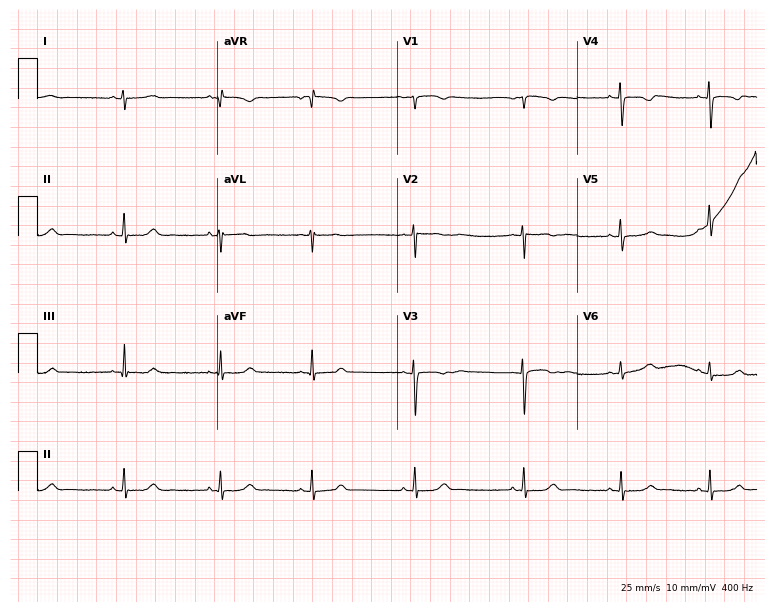
Resting 12-lead electrocardiogram. Patient: a female, 19 years old. Read as a normal ECG.